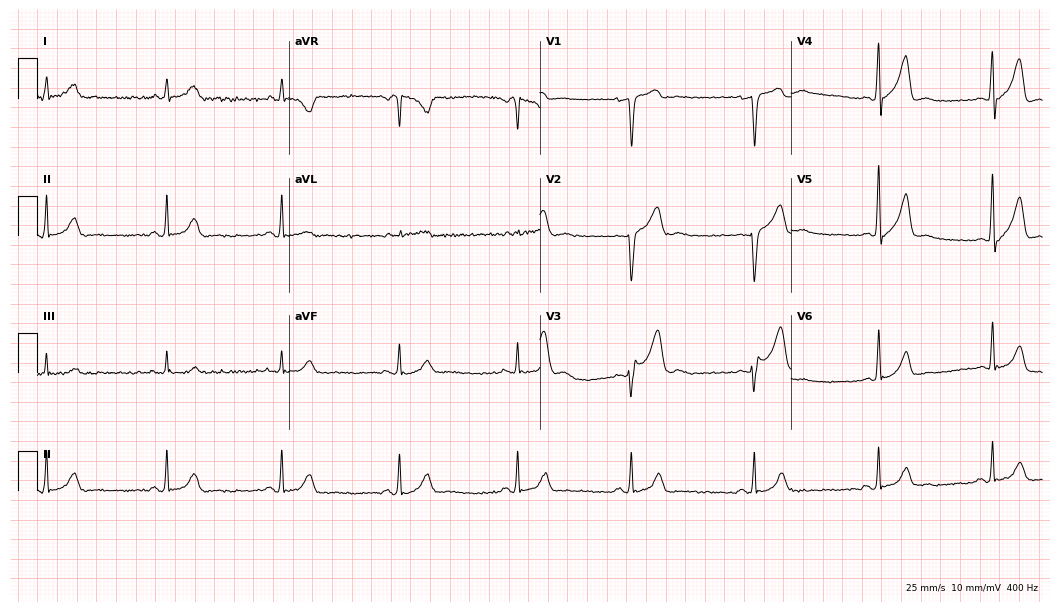
Resting 12-lead electrocardiogram (10.2-second recording at 400 Hz). Patient: a man, 52 years old. Read as a normal ECG.